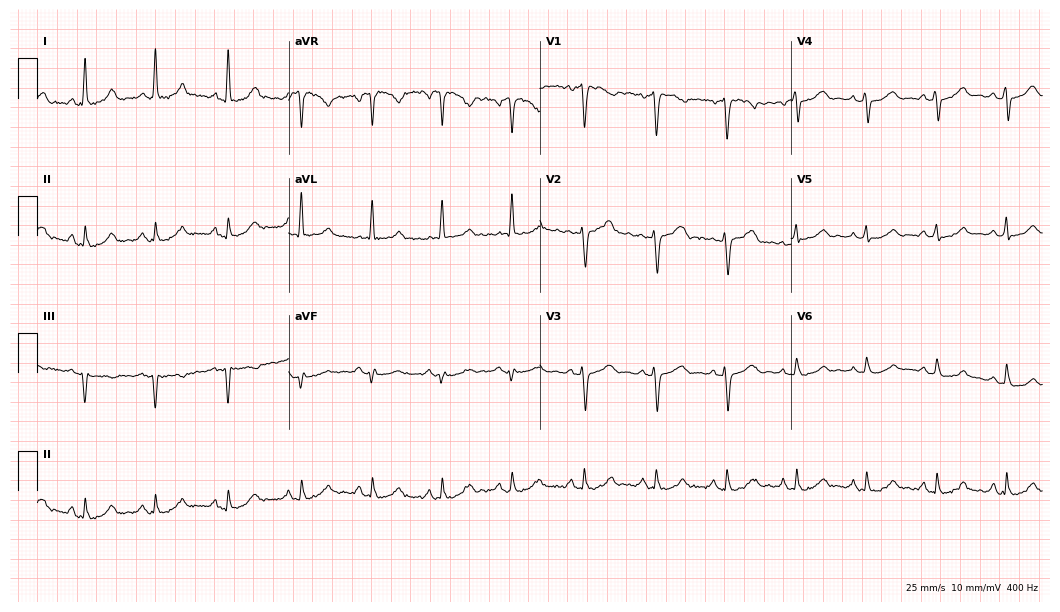
Standard 12-lead ECG recorded from a 48-year-old female. Read as a normal ECG.